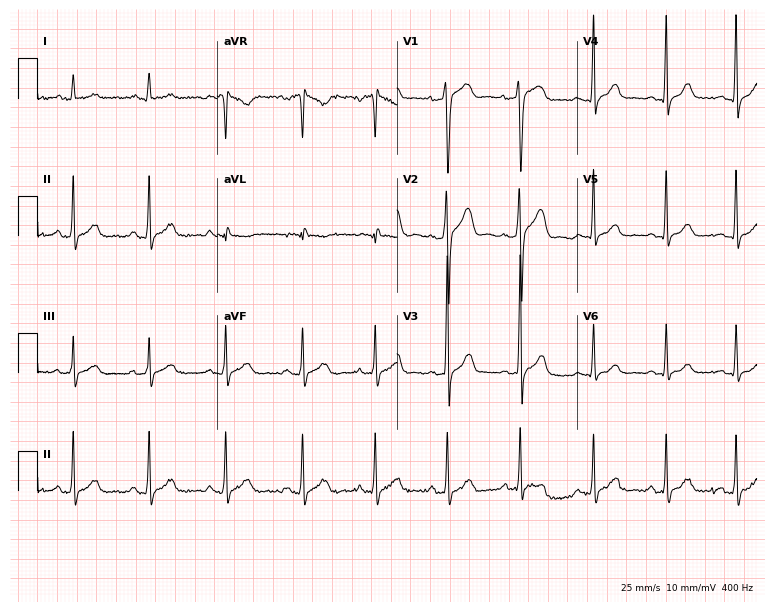
ECG — a male patient, 23 years old. Labelled as a normal ECG.